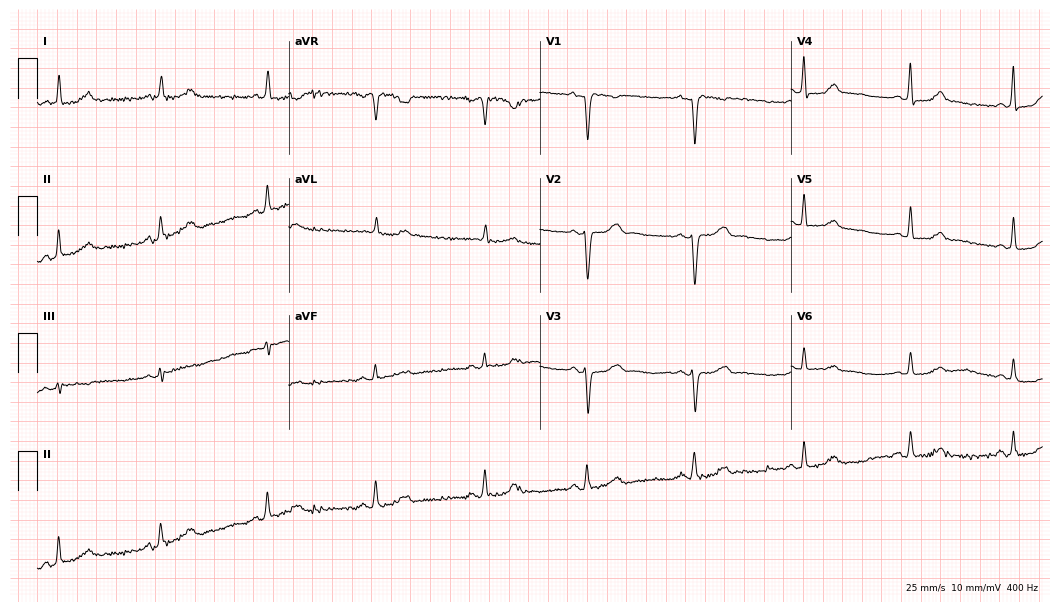
Electrocardiogram (10.2-second recording at 400 Hz), a female, 43 years old. Of the six screened findings (first-degree AV block, right bundle branch block, left bundle branch block, sinus bradycardia, atrial fibrillation, sinus tachycardia), none is recorded.